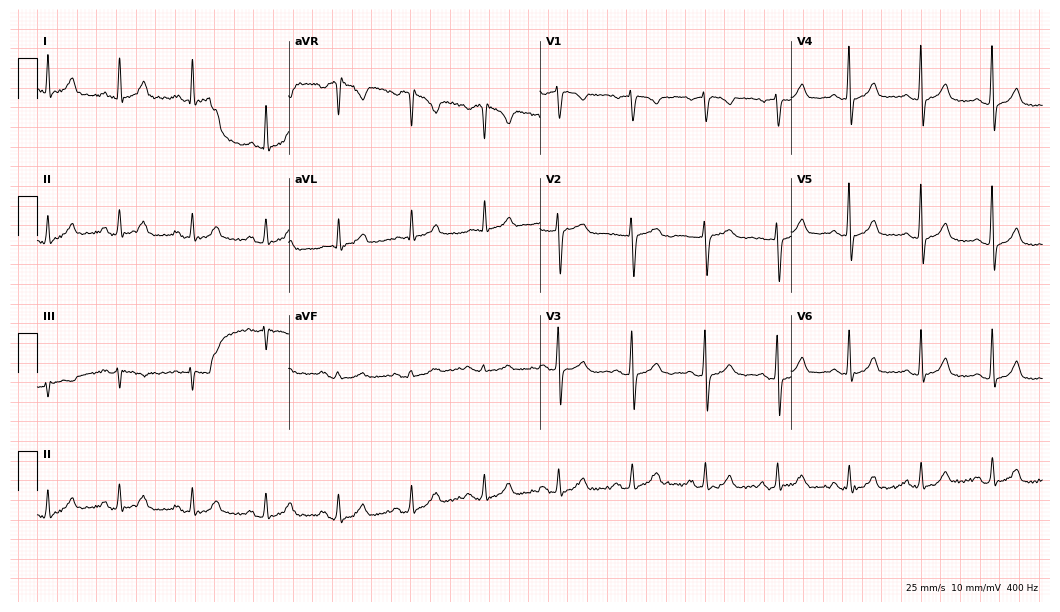
Resting 12-lead electrocardiogram. Patient: an 81-year-old female. Read as a normal ECG.